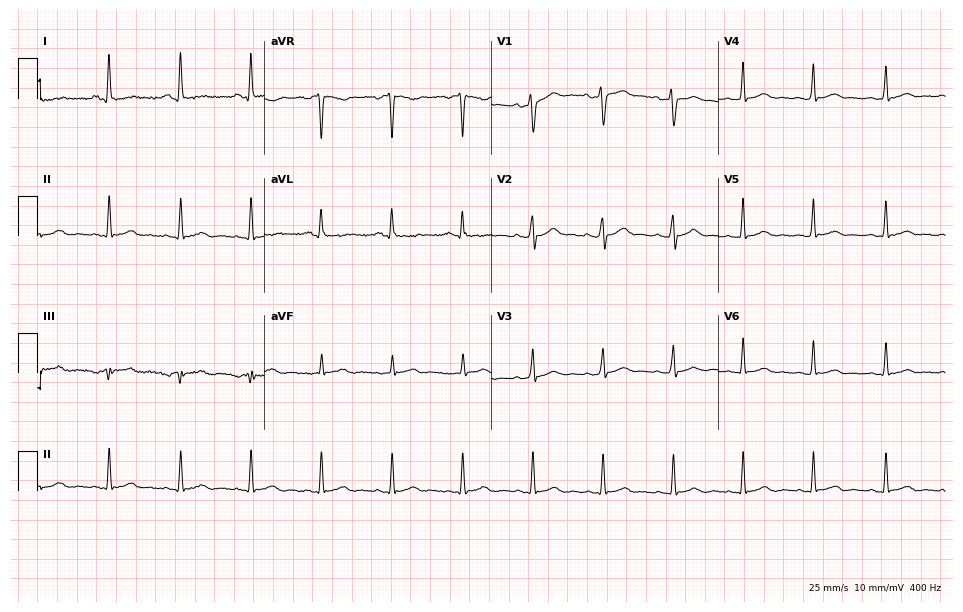
12-lead ECG (9.3-second recording at 400 Hz) from a 36-year-old woman. Labelled as a normal ECG.